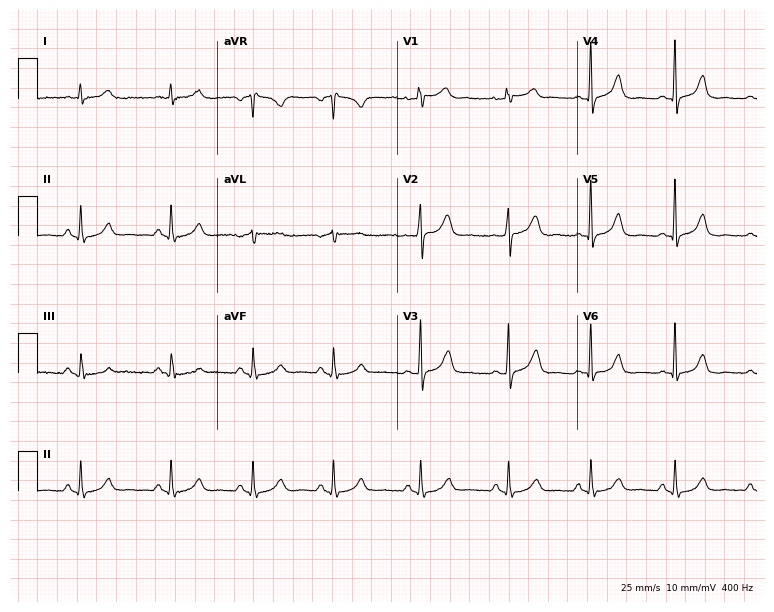
Electrocardiogram (7.3-second recording at 400 Hz), a female, 57 years old. Overall reading on record: normal ECG.